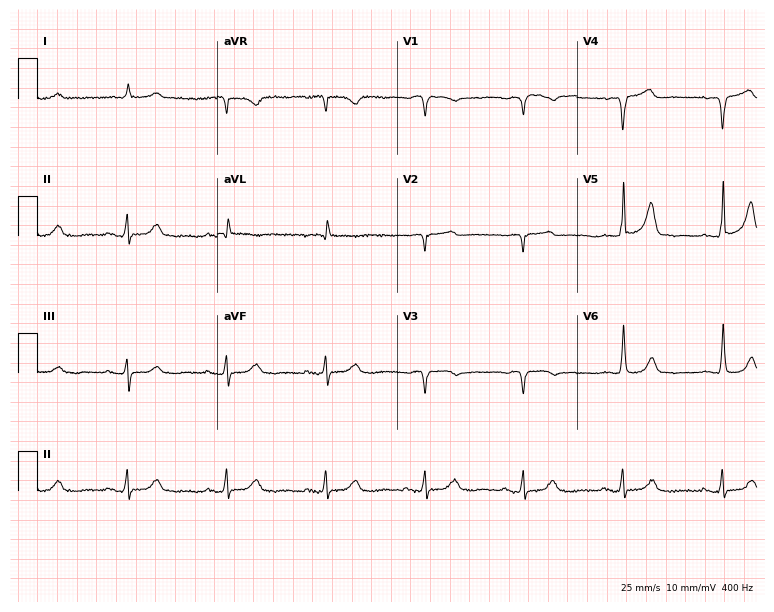
Resting 12-lead electrocardiogram. Patient: a 42-year-old male. None of these six findings is recorded: first-degree AV block, right bundle branch block, left bundle branch block, sinus bradycardia, atrial fibrillation, sinus tachycardia.